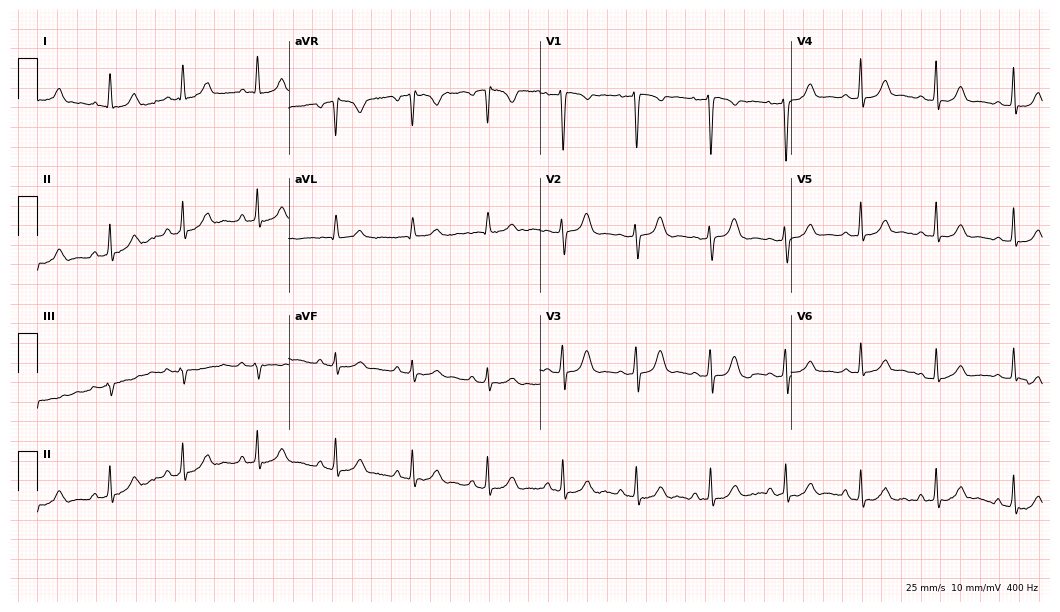
12-lead ECG from a 37-year-old woman. No first-degree AV block, right bundle branch block (RBBB), left bundle branch block (LBBB), sinus bradycardia, atrial fibrillation (AF) or sinus tachycardia recorded for this tracing. Only these six findings were labelled.